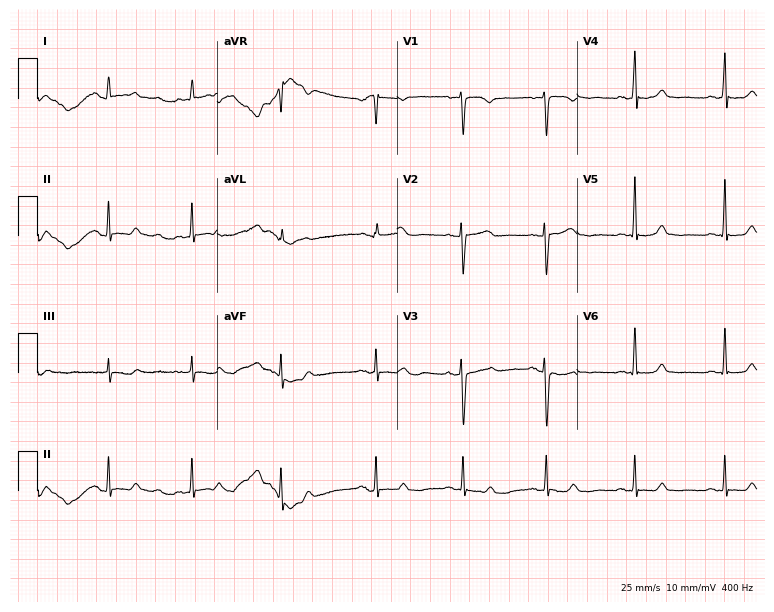
Resting 12-lead electrocardiogram. Patient: a female, 27 years old. None of these six findings is recorded: first-degree AV block, right bundle branch block, left bundle branch block, sinus bradycardia, atrial fibrillation, sinus tachycardia. Only these six findings were labelled.